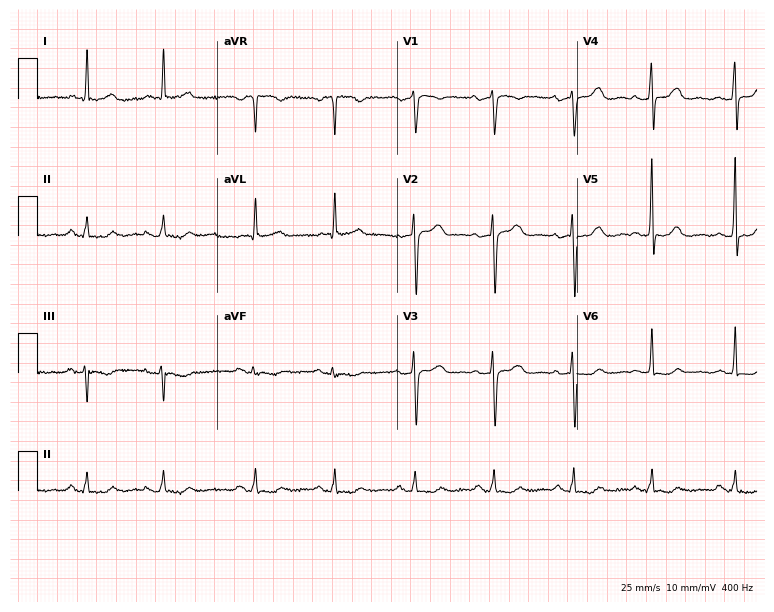
12-lead ECG from a 64-year-old female patient. No first-degree AV block, right bundle branch block, left bundle branch block, sinus bradycardia, atrial fibrillation or sinus tachycardia recorded for this tracing.